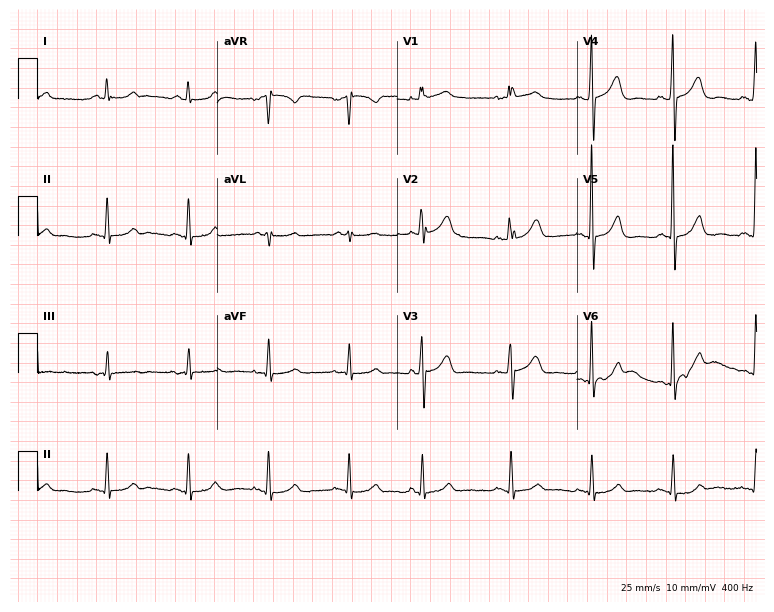
Electrocardiogram (7.3-second recording at 400 Hz), a female, 82 years old. Overall reading on record: normal ECG.